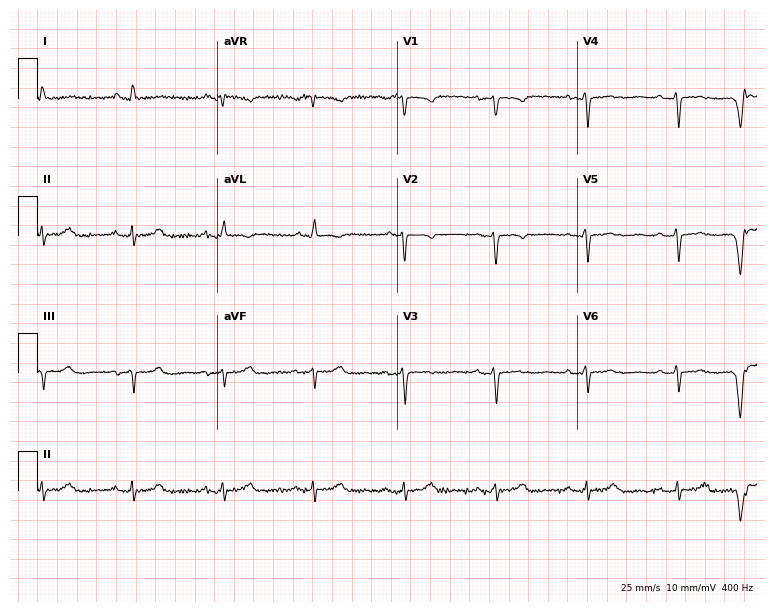
Resting 12-lead electrocardiogram. Patient: a 68-year-old male. None of these six findings is recorded: first-degree AV block, right bundle branch block, left bundle branch block, sinus bradycardia, atrial fibrillation, sinus tachycardia.